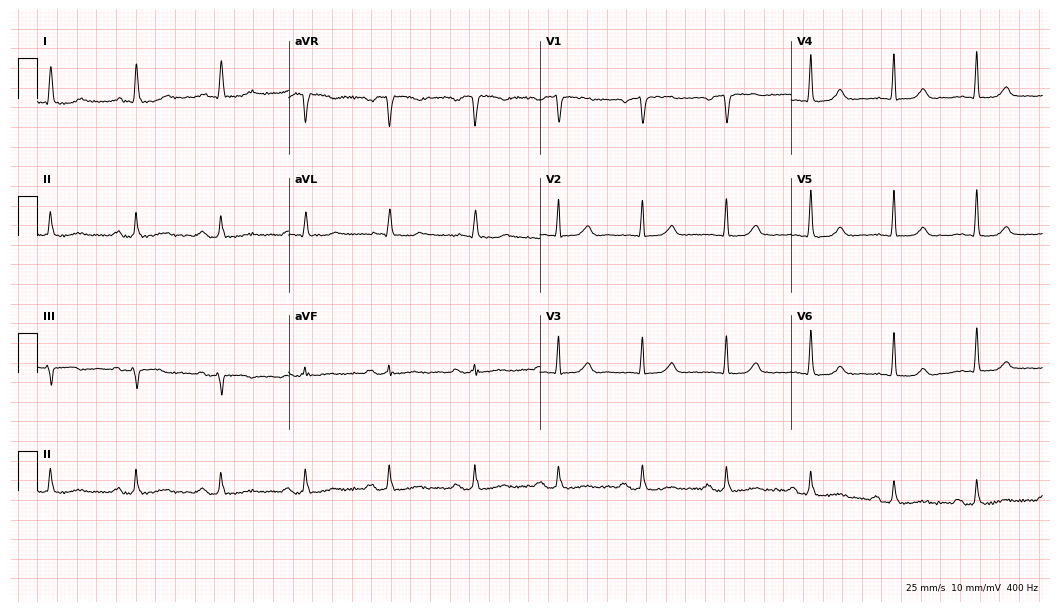
Electrocardiogram (10.2-second recording at 400 Hz), a woman, 76 years old. Of the six screened findings (first-degree AV block, right bundle branch block (RBBB), left bundle branch block (LBBB), sinus bradycardia, atrial fibrillation (AF), sinus tachycardia), none is recorded.